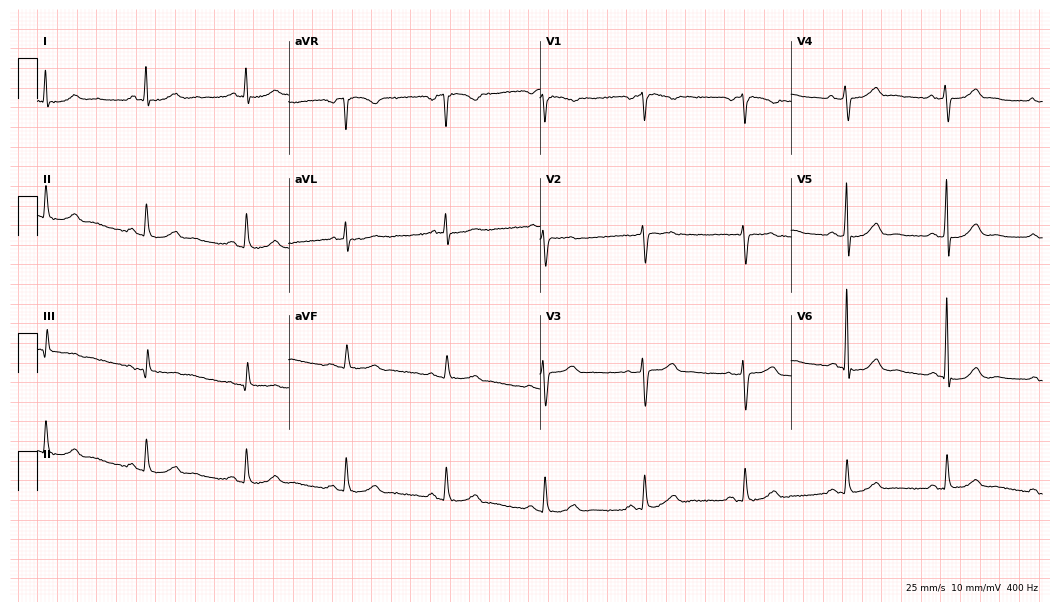
ECG — a male patient, 69 years old. Labelled as a normal ECG.